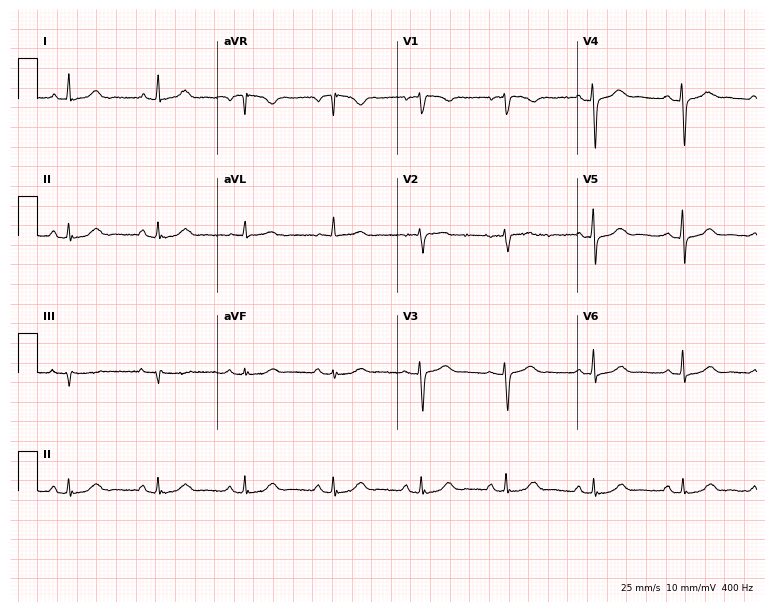
Resting 12-lead electrocardiogram. Patient: a 57-year-old female. None of these six findings is recorded: first-degree AV block, right bundle branch block, left bundle branch block, sinus bradycardia, atrial fibrillation, sinus tachycardia. Findings outside these six are not listed.